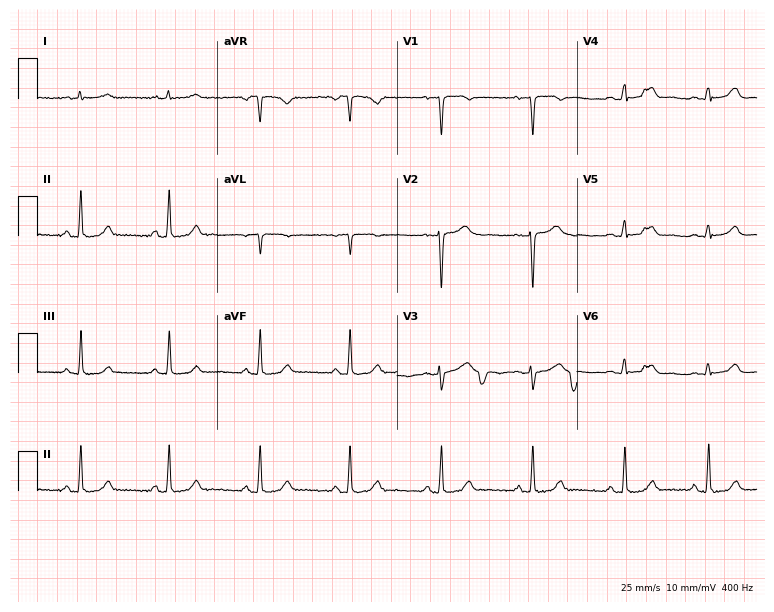
12-lead ECG (7.3-second recording at 400 Hz) from a 34-year-old female. Screened for six findings — first-degree AV block, right bundle branch block (RBBB), left bundle branch block (LBBB), sinus bradycardia, atrial fibrillation (AF), sinus tachycardia — none is recorded.